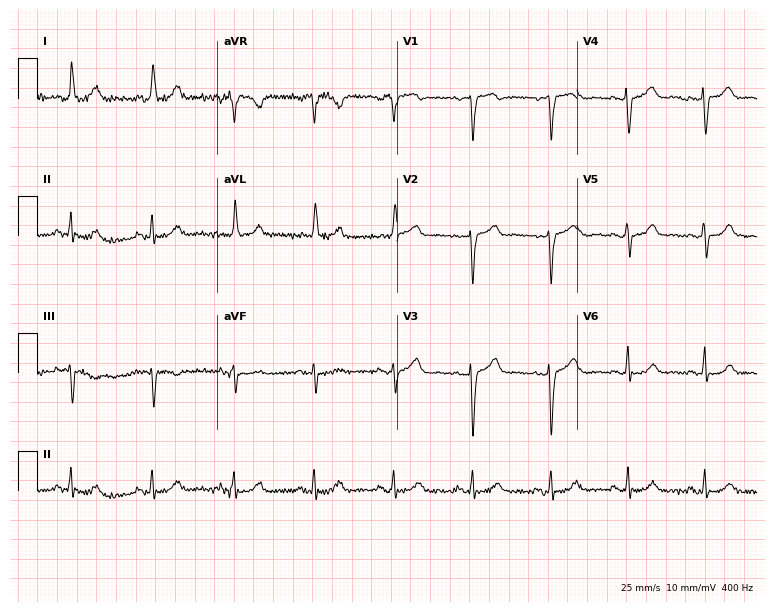
Standard 12-lead ECG recorded from a woman, 71 years old. Read as a normal ECG.